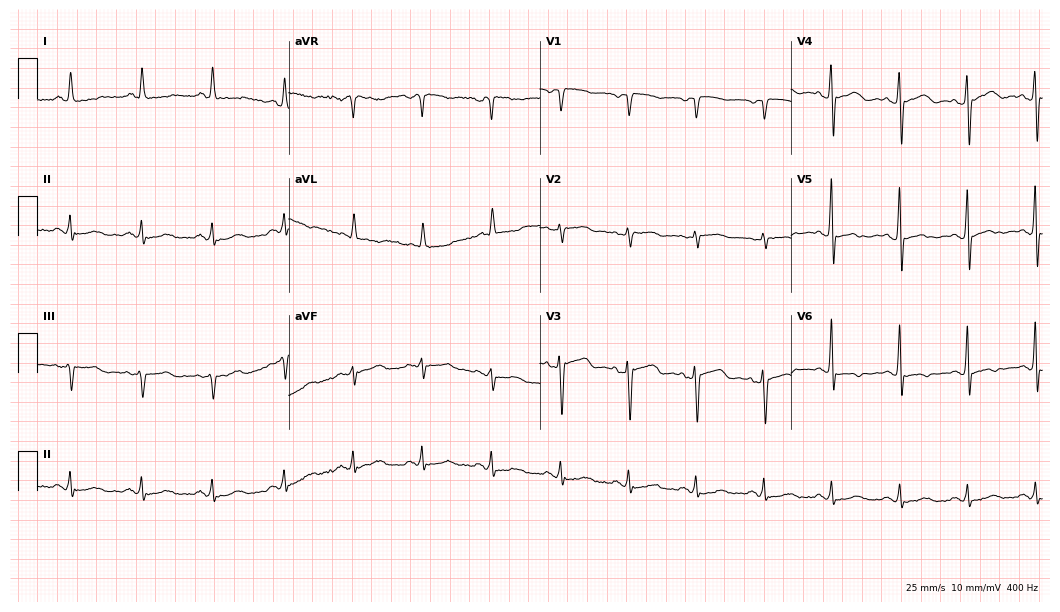
ECG — a 61-year-old woman. Screened for six findings — first-degree AV block, right bundle branch block, left bundle branch block, sinus bradycardia, atrial fibrillation, sinus tachycardia — none is recorded. Other findings, if any, are not listed.